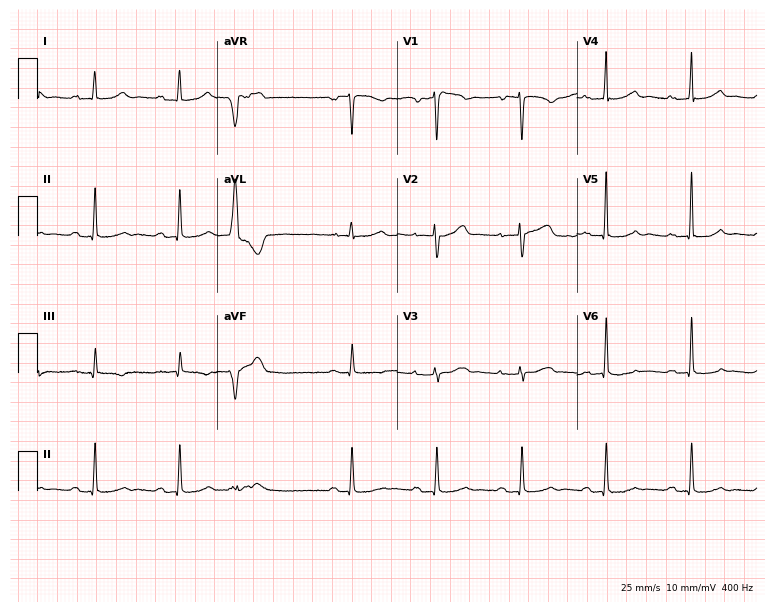
Standard 12-lead ECG recorded from a woman, 81 years old. None of these six findings is recorded: first-degree AV block, right bundle branch block (RBBB), left bundle branch block (LBBB), sinus bradycardia, atrial fibrillation (AF), sinus tachycardia. Findings outside these six are not listed.